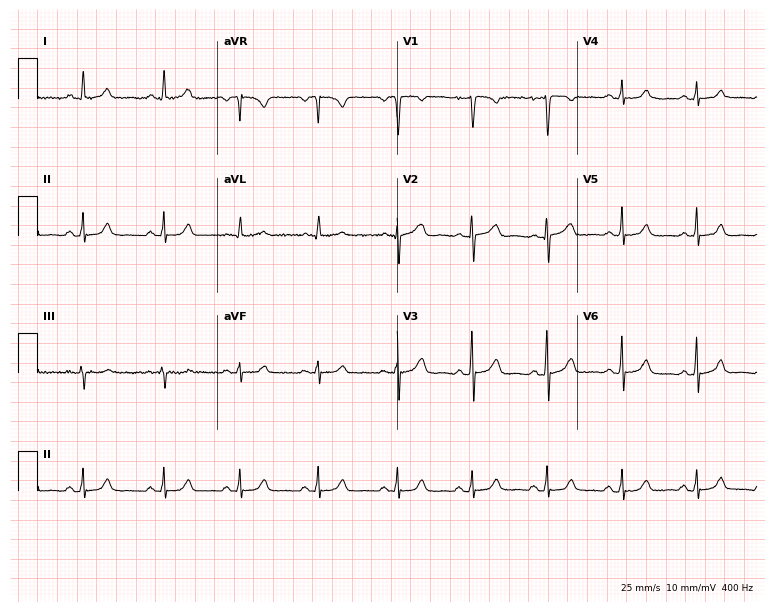
Electrocardiogram (7.3-second recording at 400 Hz), a 34-year-old female patient. Overall reading on record: normal ECG.